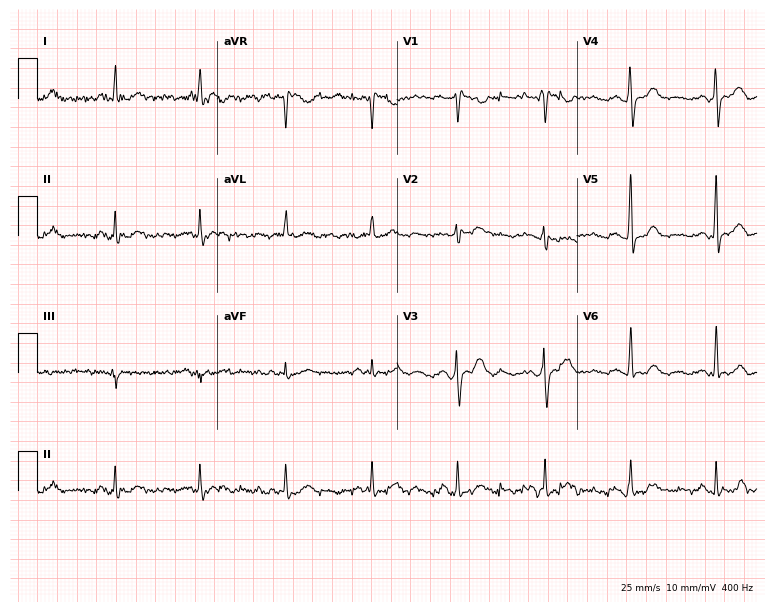
Resting 12-lead electrocardiogram. Patient: a male, 21 years old. None of these six findings is recorded: first-degree AV block, right bundle branch block (RBBB), left bundle branch block (LBBB), sinus bradycardia, atrial fibrillation (AF), sinus tachycardia.